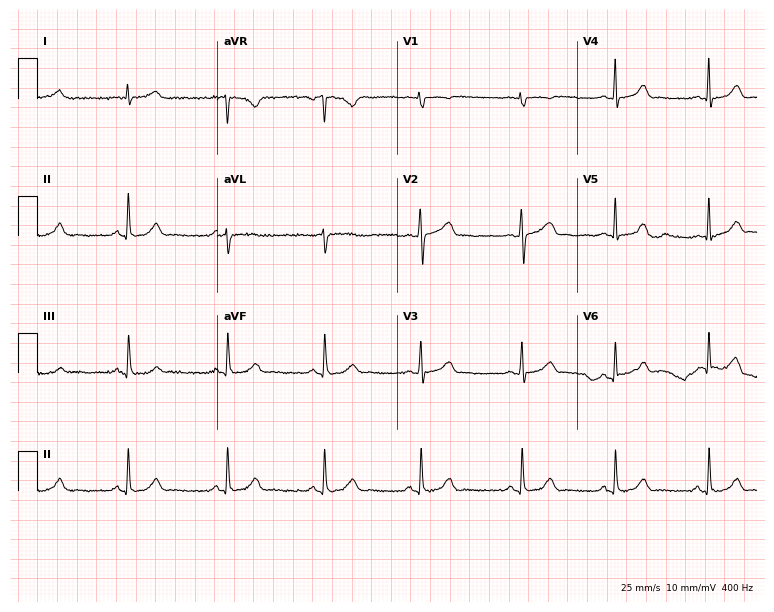
Standard 12-lead ECG recorded from a 27-year-old female. None of these six findings is recorded: first-degree AV block, right bundle branch block, left bundle branch block, sinus bradycardia, atrial fibrillation, sinus tachycardia. Other findings, if any, are not listed.